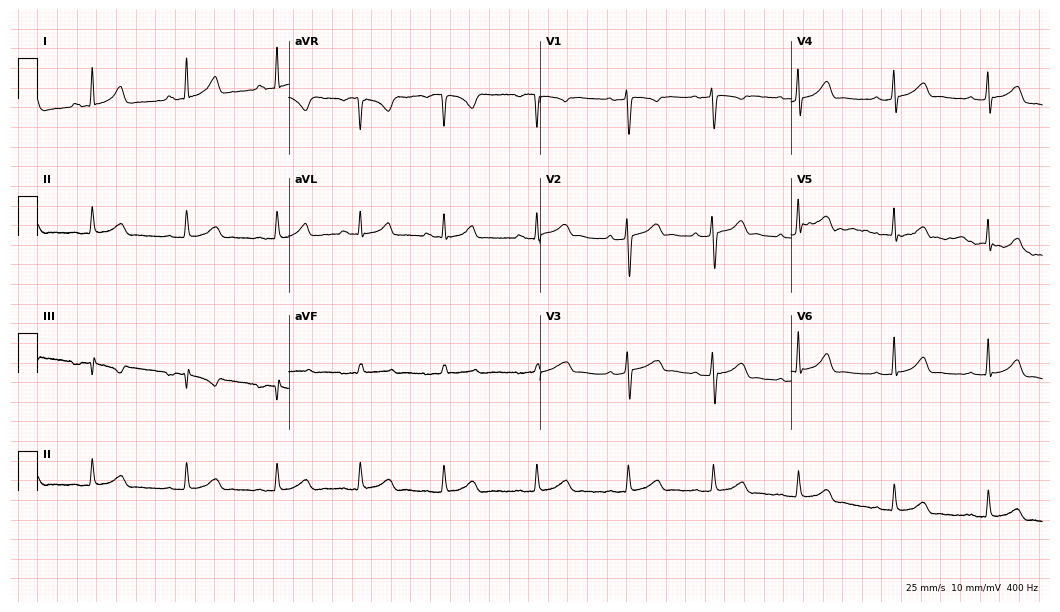
ECG (10.2-second recording at 400 Hz) — a 31-year-old female. Labelled as a normal ECG.